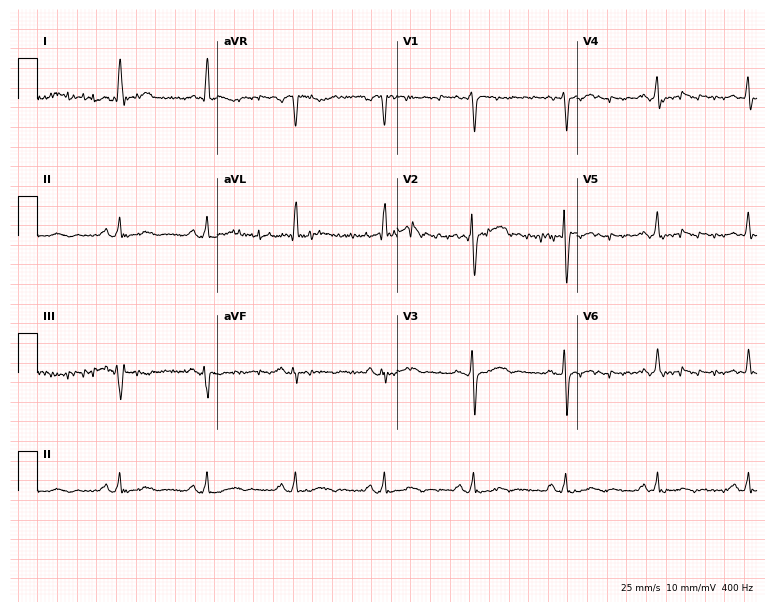
12-lead ECG from a woman, 71 years old (7.3-second recording at 400 Hz). No first-degree AV block, right bundle branch block, left bundle branch block, sinus bradycardia, atrial fibrillation or sinus tachycardia recorded for this tracing.